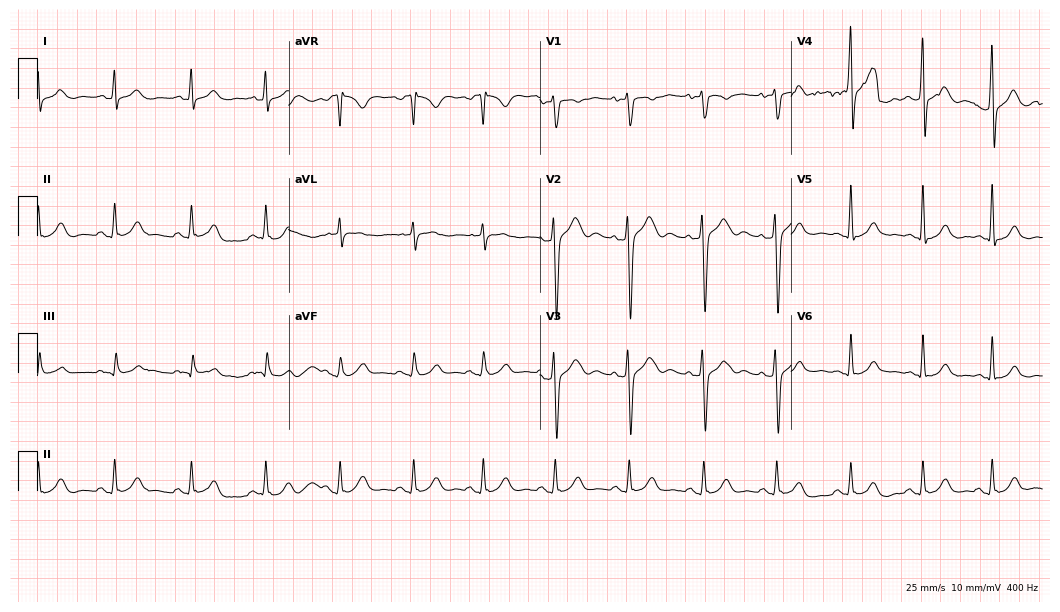
Standard 12-lead ECG recorded from a male patient, 41 years old (10.2-second recording at 400 Hz). Read as a normal ECG.